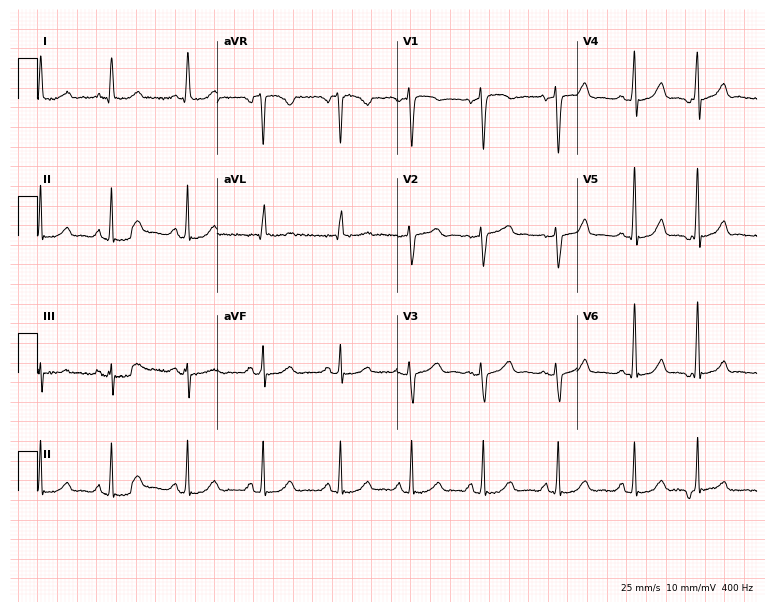
Electrocardiogram (7.3-second recording at 400 Hz), a female, 56 years old. Overall reading on record: normal ECG.